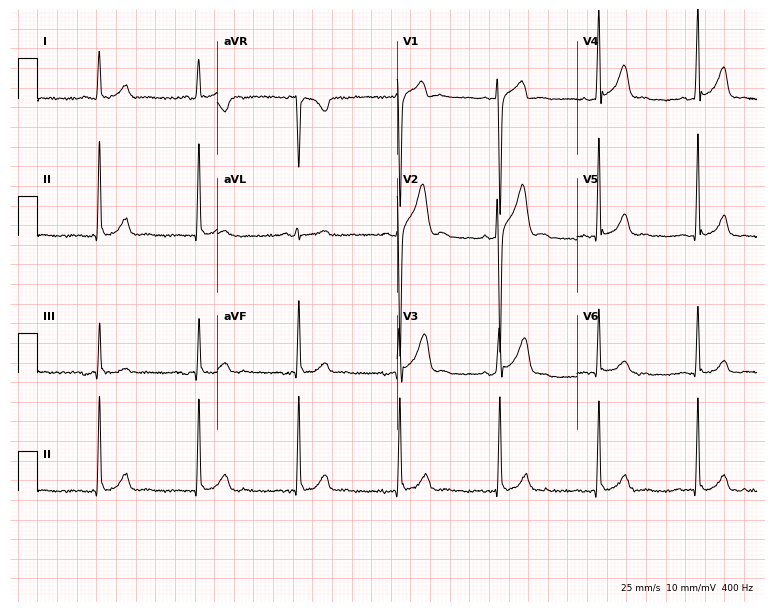
12-lead ECG from a 27-year-old male patient. No first-degree AV block, right bundle branch block, left bundle branch block, sinus bradycardia, atrial fibrillation or sinus tachycardia recorded for this tracing.